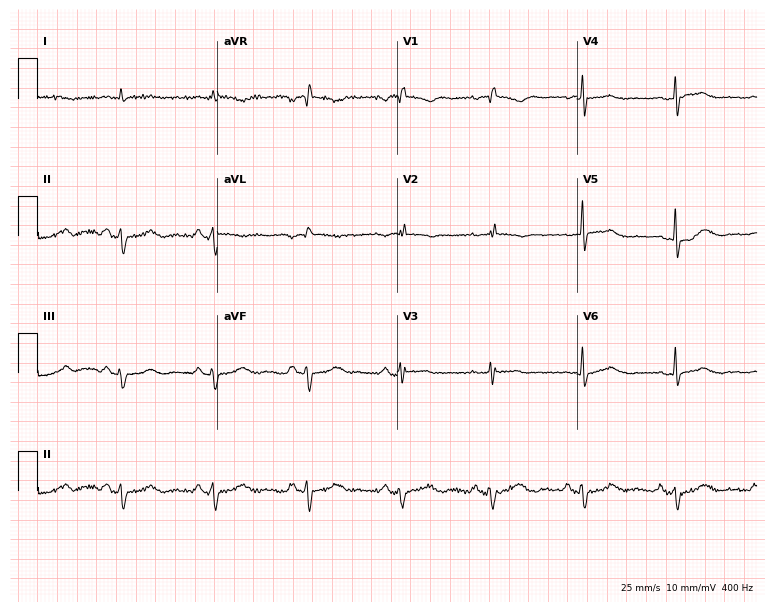
Standard 12-lead ECG recorded from an 80-year-old male. None of these six findings is recorded: first-degree AV block, right bundle branch block, left bundle branch block, sinus bradycardia, atrial fibrillation, sinus tachycardia.